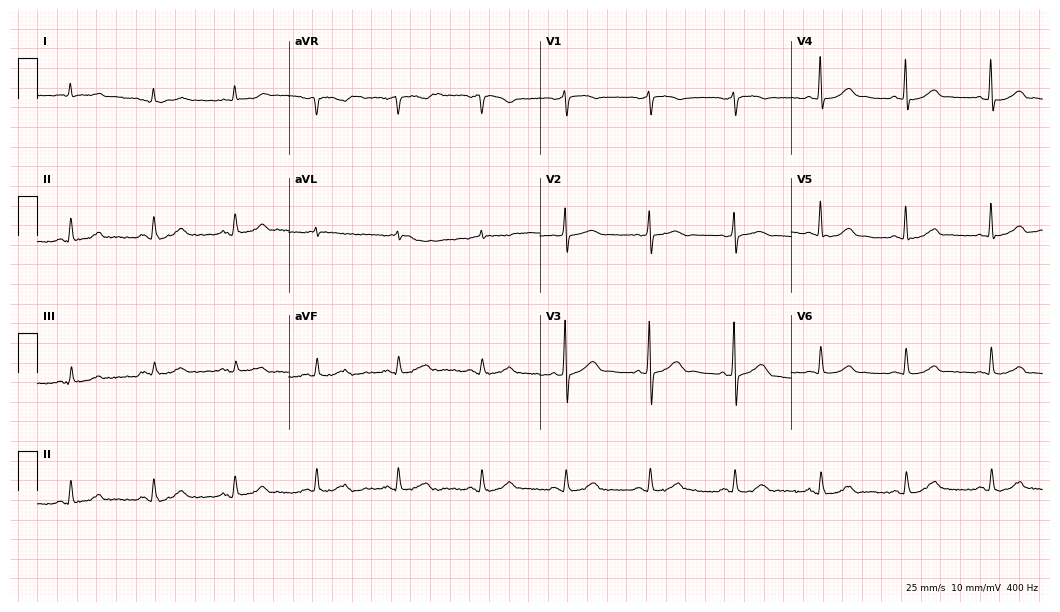
12-lead ECG (10.2-second recording at 400 Hz) from a 77-year-old man. Labelled as a normal ECG.